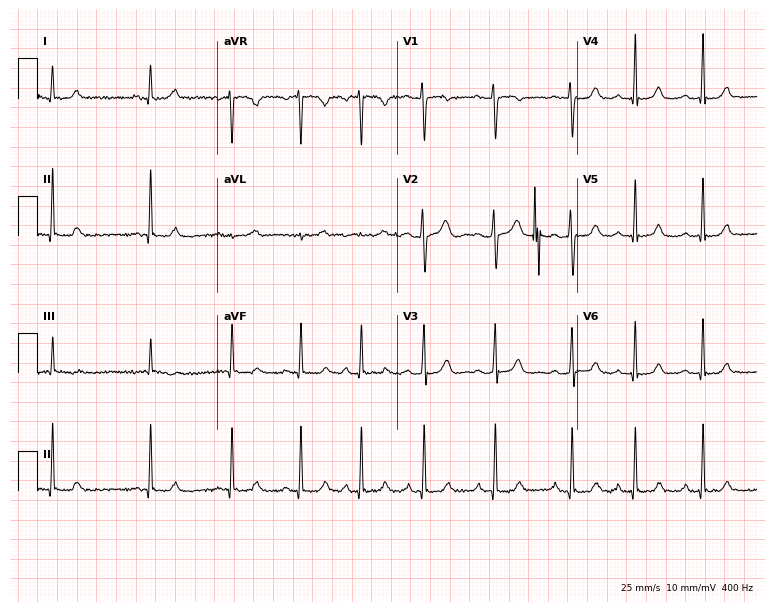
Resting 12-lead electrocardiogram (7.3-second recording at 400 Hz). Patient: a woman, 23 years old. Read as a normal ECG.